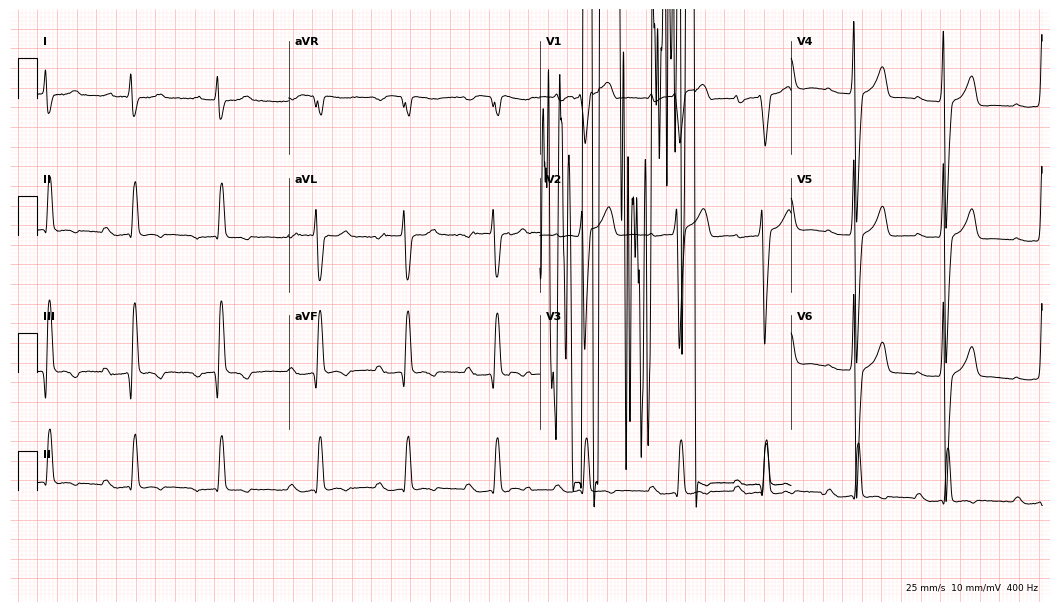
Standard 12-lead ECG recorded from a man, 70 years old (10.2-second recording at 400 Hz). None of these six findings is recorded: first-degree AV block, right bundle branch block (RBBB), left bundle branch block (LBBB), sinus bradycardia, atrial fibrillation (AF), sinus tachycardia.